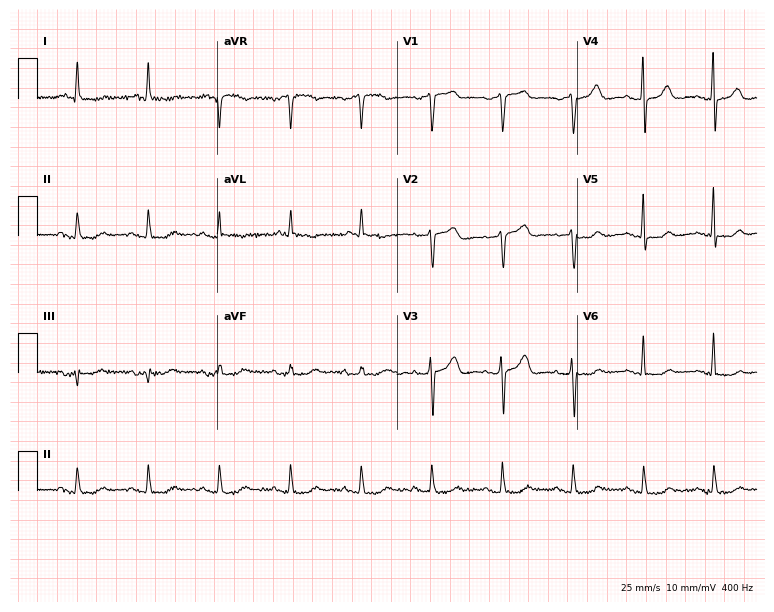
Resting 12-lead electrocardiogram (7.3-second recording at 400 Hz). Patient: a male, 63 years old. None of these six findings is recorded: first-degree AV block, right bundle branch block (RBBB), left bundle branch block (LBBB), sinus bradycardia, atrial fibrillation (AF), sinus tachycardia. Other findings, if any, are not listed.